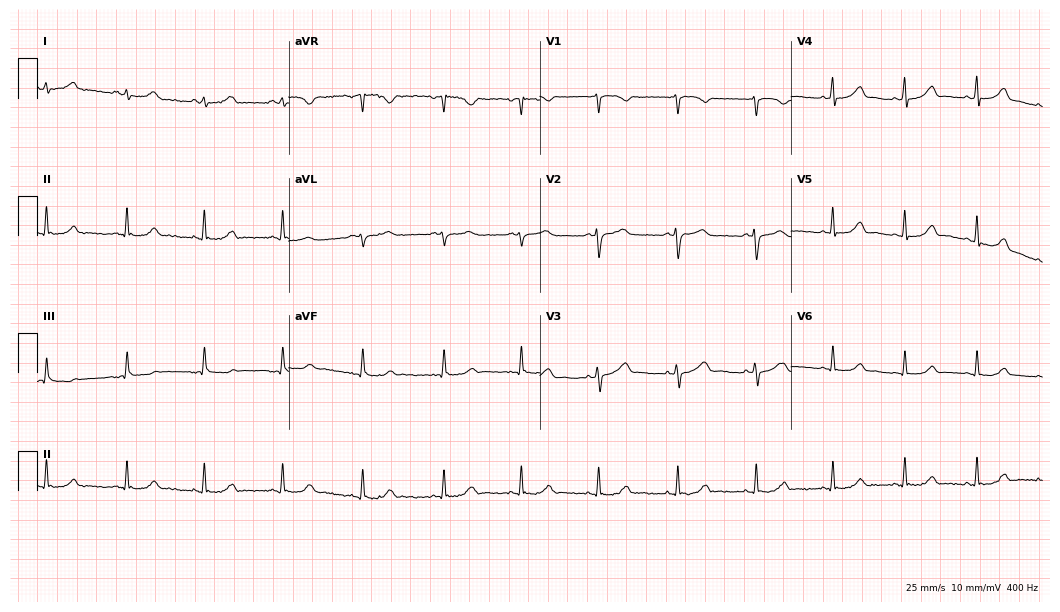
Electrocardiogram, a 26-year-old female. Overall reading on record: normal ECG.